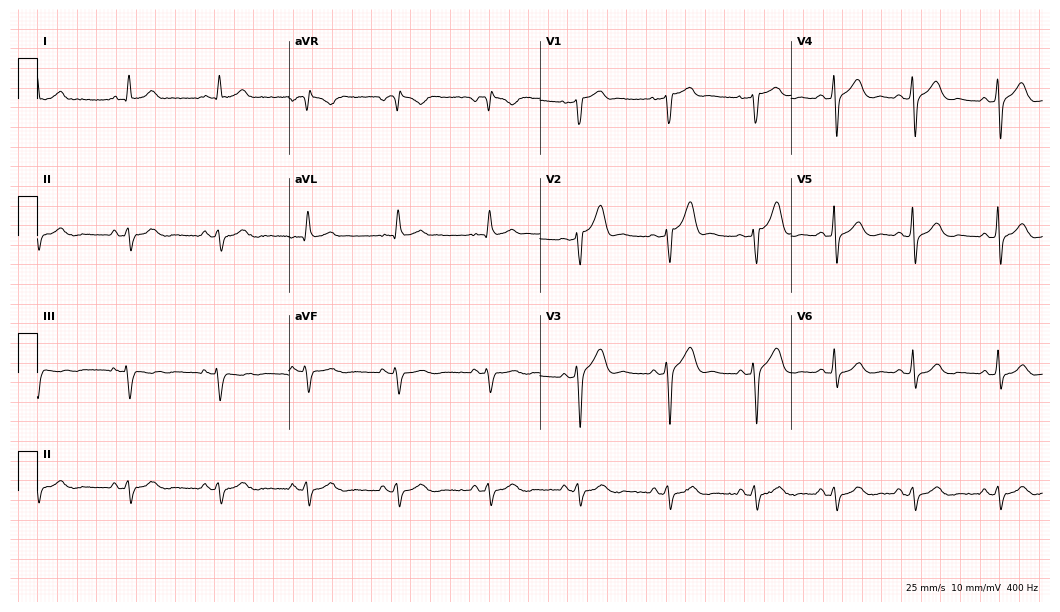
Standard 12-lead ECG recorded from a 55-year-old male (10.2-second recording at 400 Hz). None of these six findings is recorded: first-degree AV block, right bundle branch block (RBBB), left bundle branch block (LBBB), sinus bradycardia, atrial fibrillation (AF), sinus tachycardia.